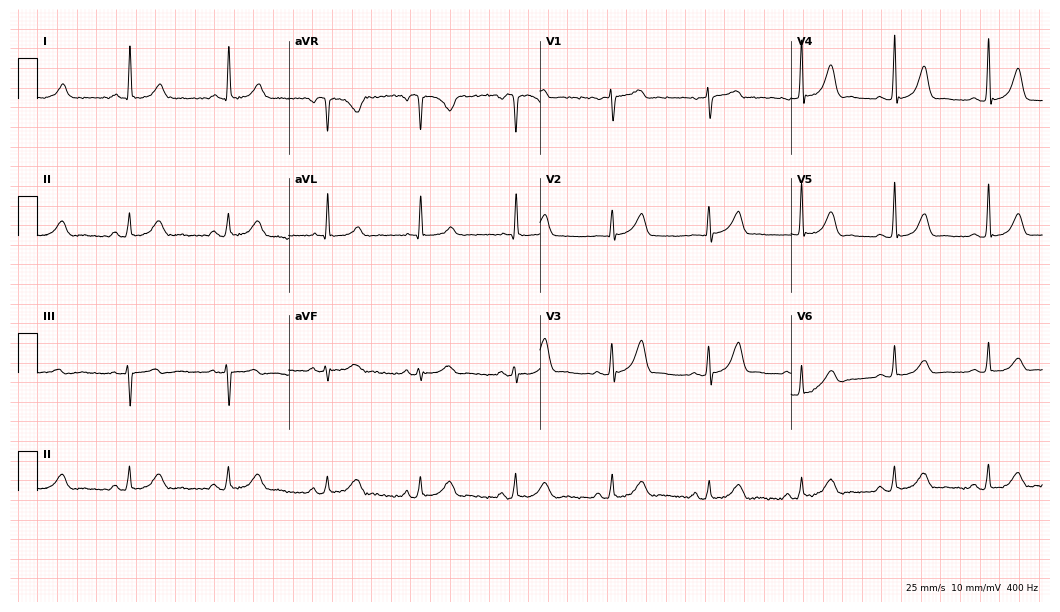
12-lead ECG from a 75-year-old woman. Recorded interpretation: within normal limits.